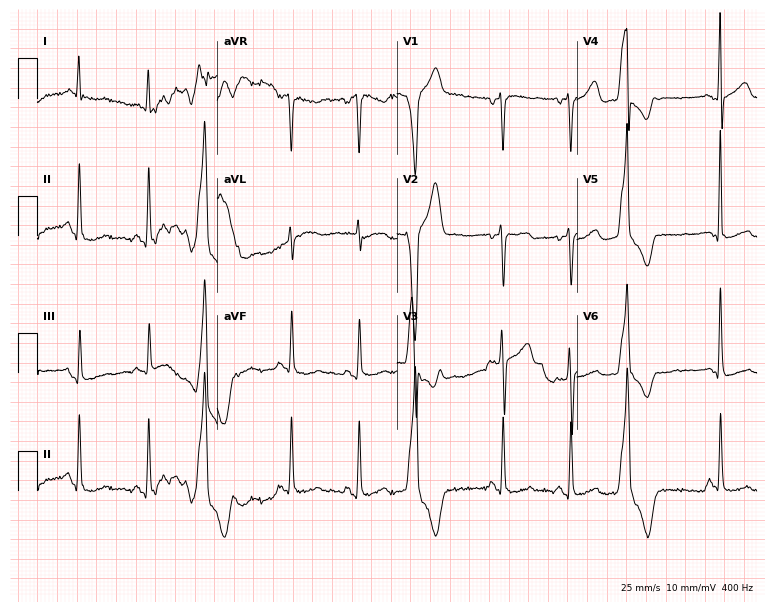
Electrocardiogram, a man, 41 years old. Of the six screened findings (first-degree AV block, right bundle branch block, left bundle branch block, sinus bradycardia, atrial fibrillation, sinus tachycardia), none is recorded. Only these six findings were labelled.